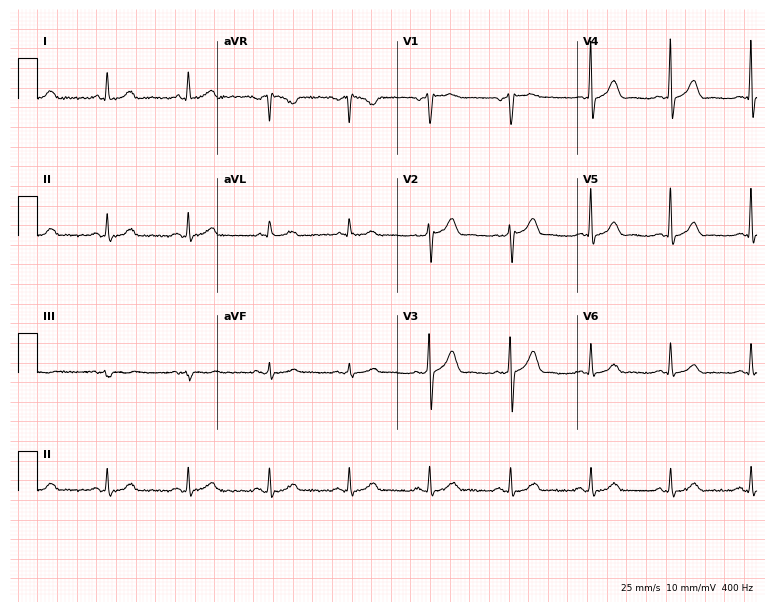
ECG (7.3-second recording at 400 Hz) — a 78-year-old male patient. Labelled as a normal ECG.